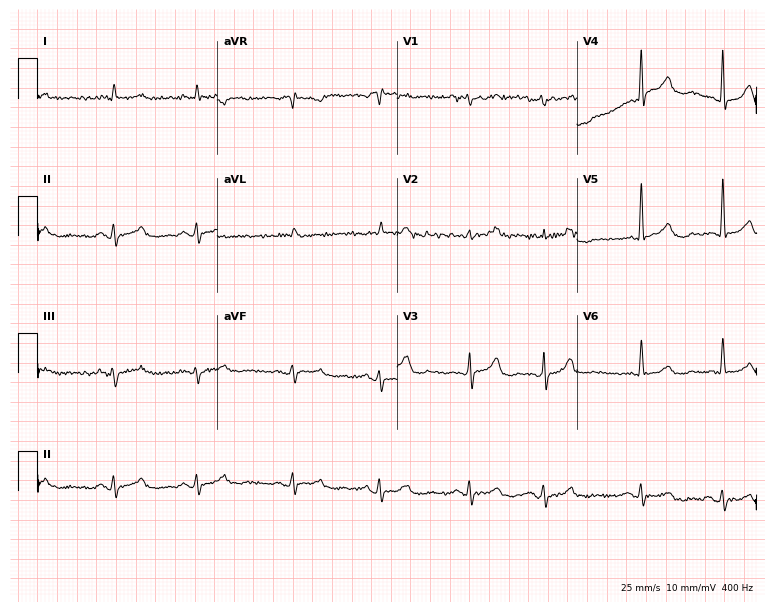
Standard 12-lead ECG recorded from a 67-year-old male patient (7.3-second recording at 400 Hz). None of these six findings is recorded: first-degree AV block, right bundle branch block, left bundle branch block, sinus bradycardia, atrial fibrillation, sinus tachycardia.